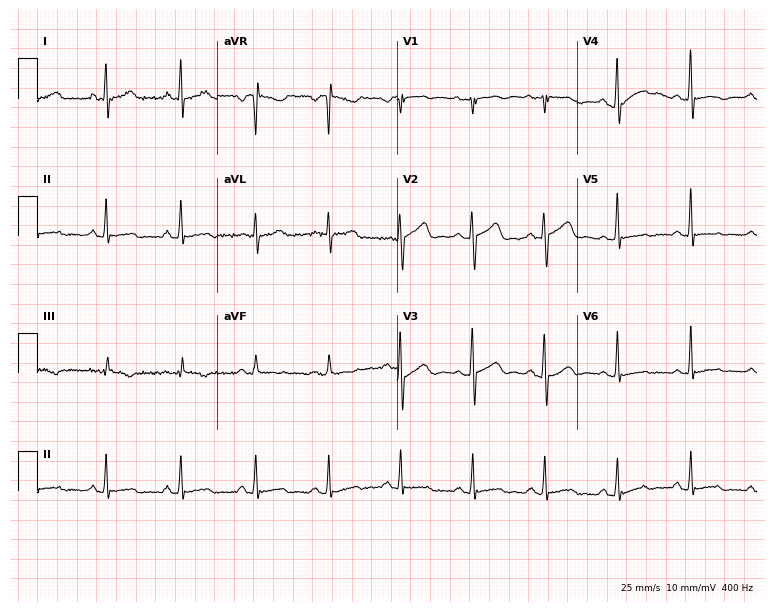
12-lead ECG from a man, 36 years old (7.3-second recording at 400 Hz). No first-degree AV block, right bundle branch block, left bundle branch block, sinus bradycardia, atrial fibrillation or sinus tachycardia recorded for this tracing.